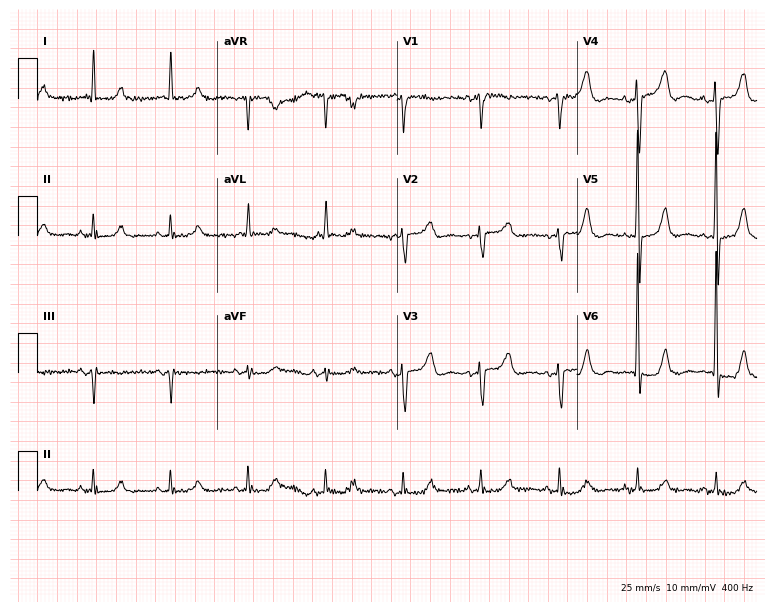
12-lead ECG from a 76-year-old male (7.3-second recording at 400 Hz). No first-degree AV block, right bundle branch block, left bundle branch block, sinus bradycardia, atrial fibrillation or sinus tachycardia recorded for this tracing. Findings outside these six are not listed.